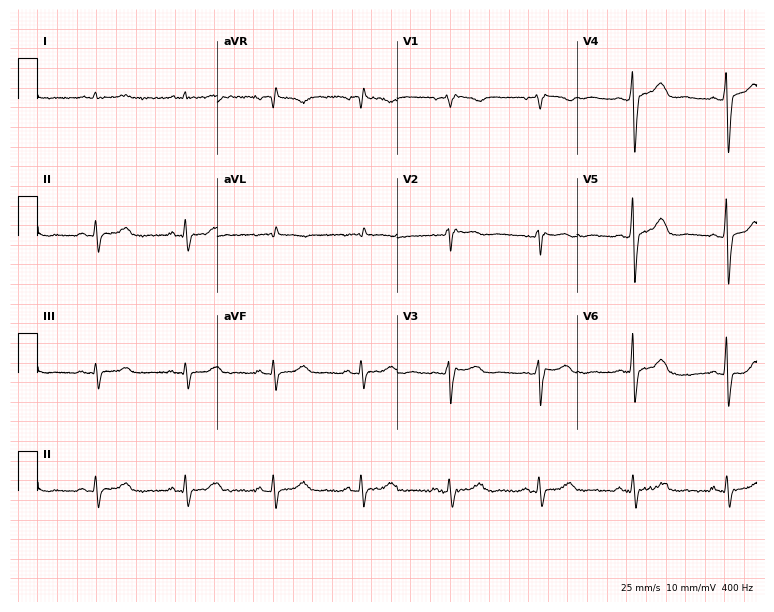
Electrocardiogram, a male patient, 82 years old. Overall reading on record: normal ECG.